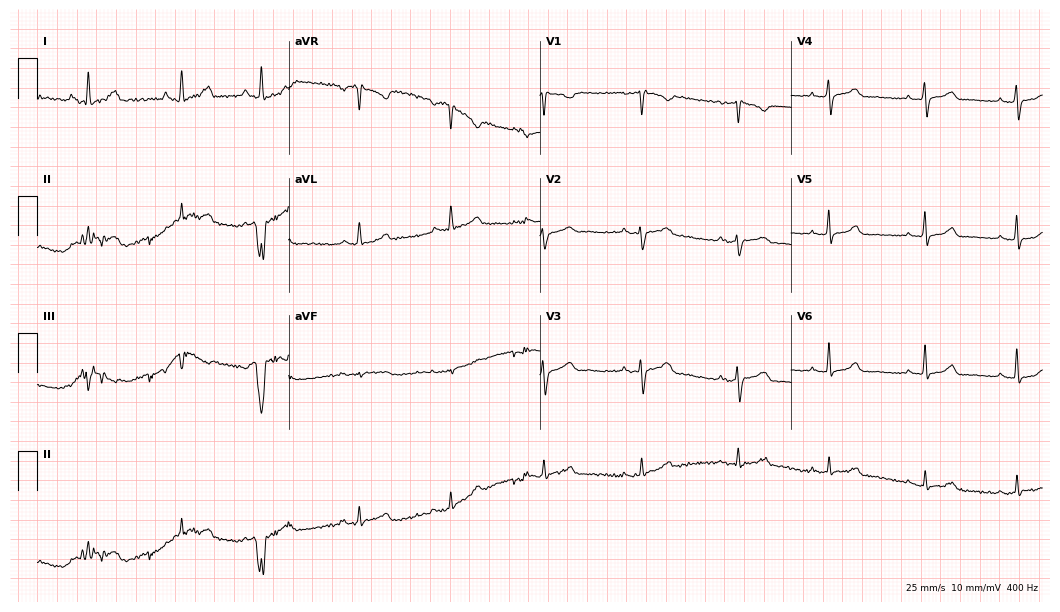
Resting 12-lead electrocardiogram. Patient: a 49-year-old man. None of these six findings is recorded: first-degree AV block, right bundle branch block (RBBB), left bundle branch block (LBBB), sinus bradycardia, atrial fibrillation (AF), sinus tachycardia. Other findings, if any, are not listed.